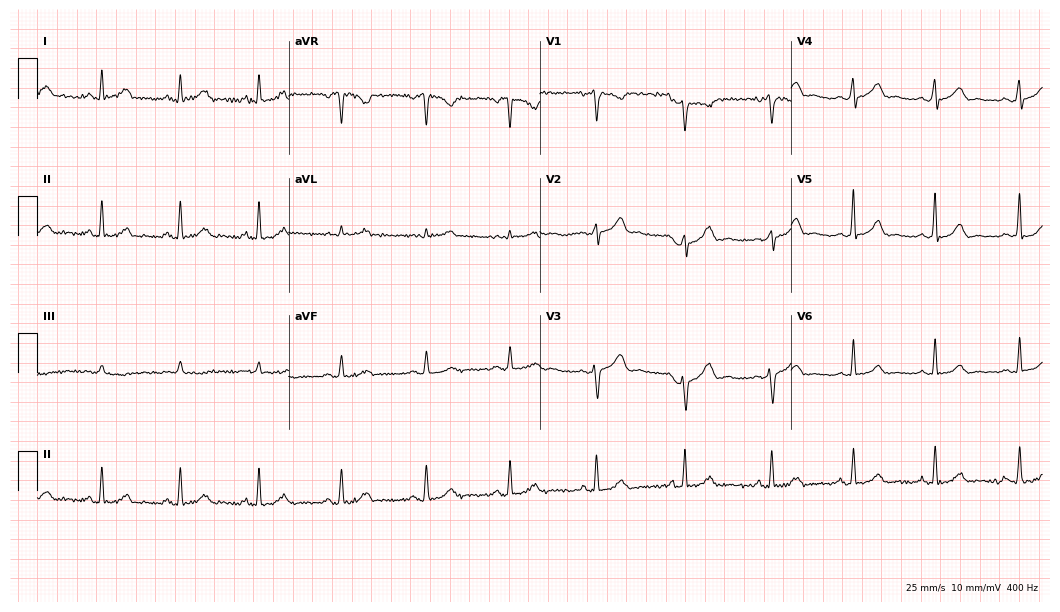
Electrocardiogram (10.2-second recording at 400 Hz), a female, 32 years old. Overall reading on record: normal ECG.